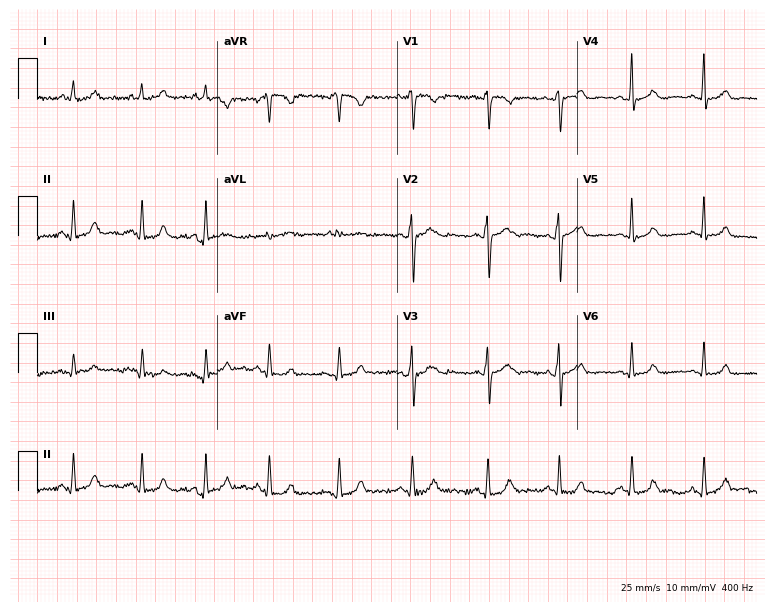
Resting 12-lead electrocardiogram. Patient: a 27-year-old woman. None of these six findings is recorded: first-degree AV block, right bundle branch block (RBBB), left bundle branch block (LBBB), sinus bradycardia, atrial fibrillation (AF), sinus tachycardia. Only these six findings were labelled.